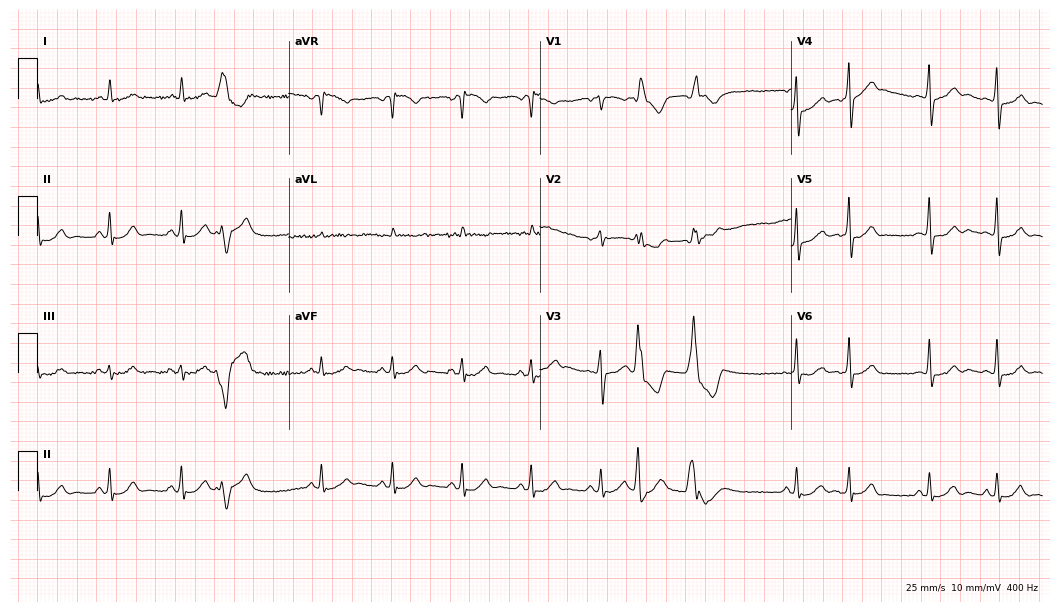
Standard 12-lead ECG recorded from a male, 82 years old (10.2-second recording at 400 Hz). None of these six findings is recorded: first-degree AV block, right bundle branch block, left bundle branch block, sinus bradycardia, atrial fibrillation, sinus tachycardia.